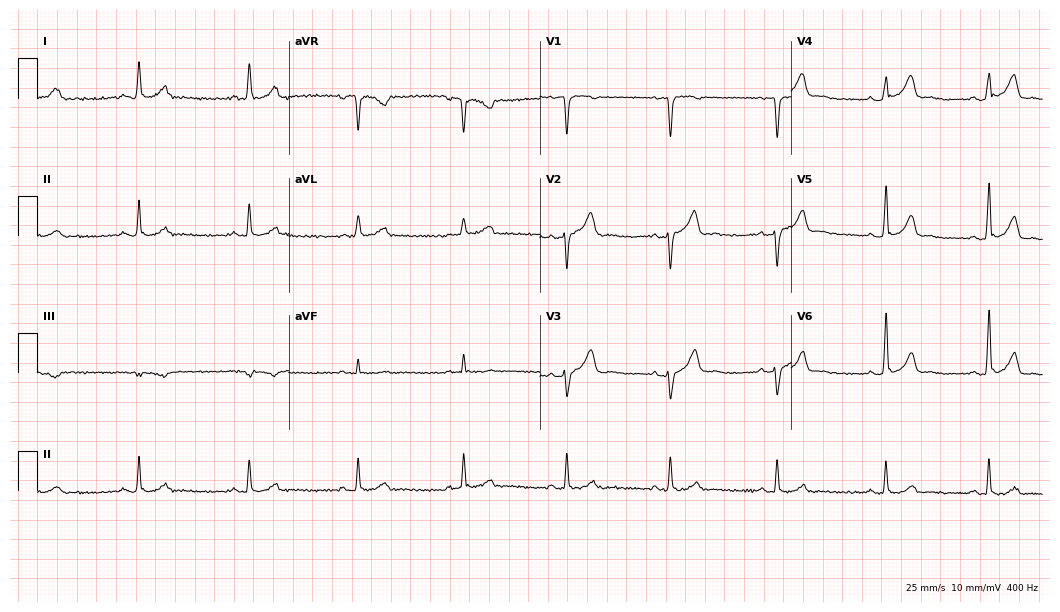
Resting 12-lead electrocardiogram. Patient: a male, 47 years old. Read as a normal ECG.